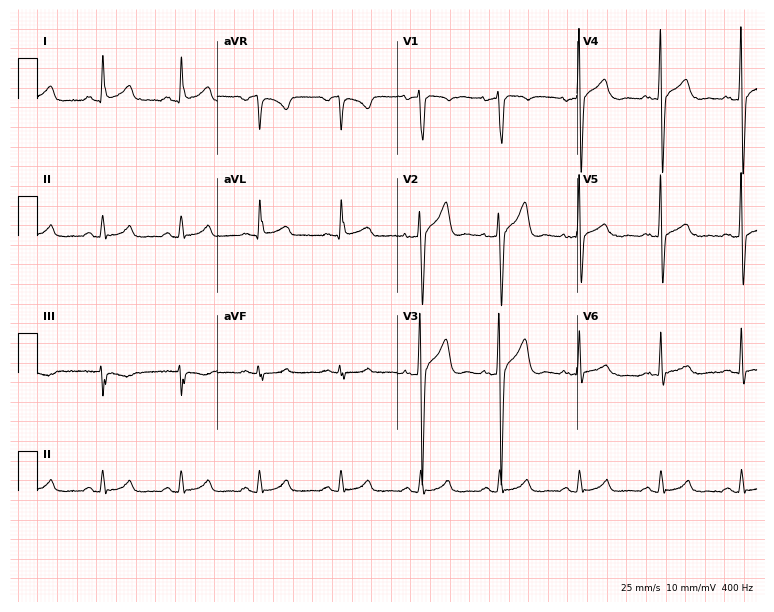
12-lead ECG (7.3-second recording at 400 Hz) from a 39-year-old male. Labelled as a normal ECG.